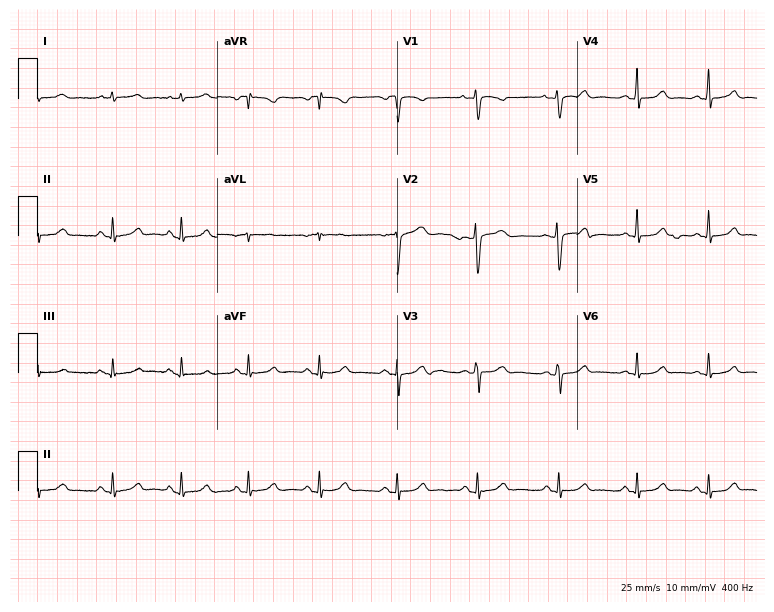
ECG (7.3-second recording at 400 Hz) — a 42-year-old woman. Labelled as a normal ECG.